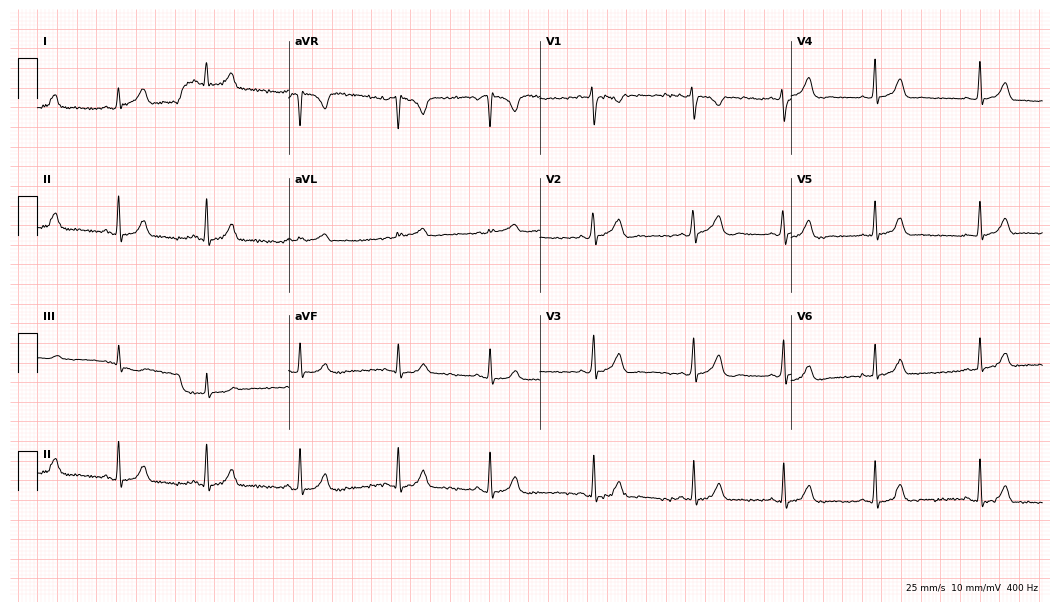
12-lead ECG from an 18-year-old woman (10.2-second recording at 400 Hz). Recorded interpretation: within normal limits.